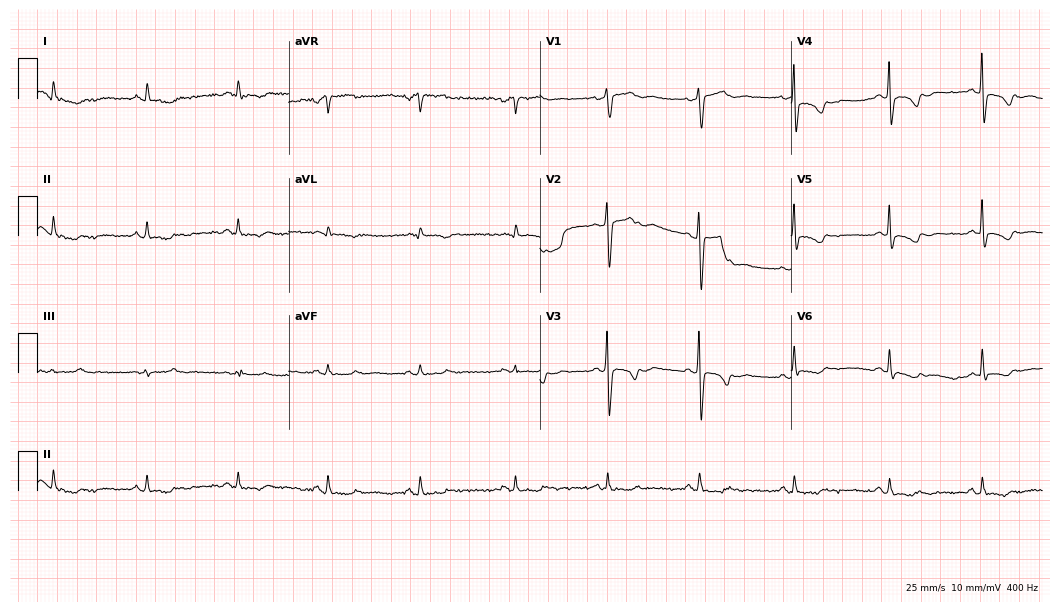
Standard 12-lead ECG recorded from a 65-year-old female (10.2-second recording at 400 Hz). None of these six findings is recorded: first-degree AV block, right bundle branch block, left bundle branch block, sinus bradycardia, atrial fibrillation, sinus tachycardia.